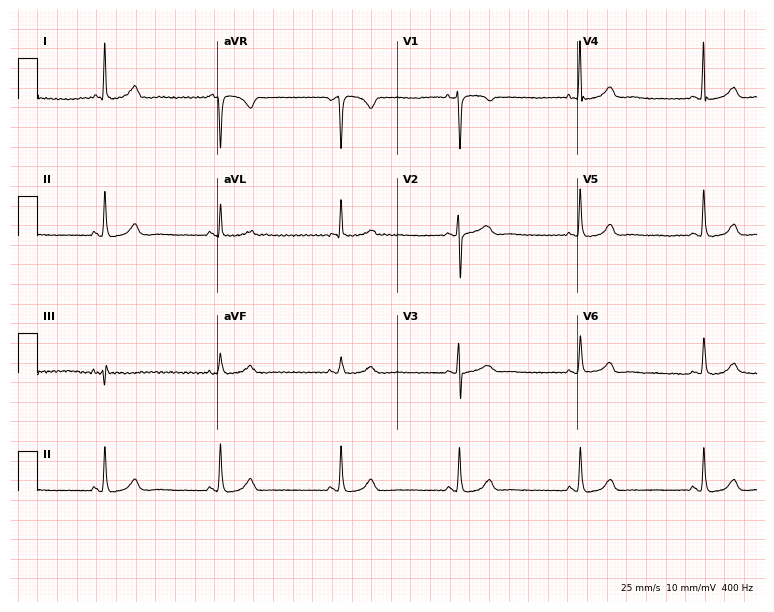
Electrocardiogram (7.3-second recording at 400 Hz), a woman, 34 years old. Interpretation includes sinus bradycardia (a sinus rate of 50 beats per minute or less).